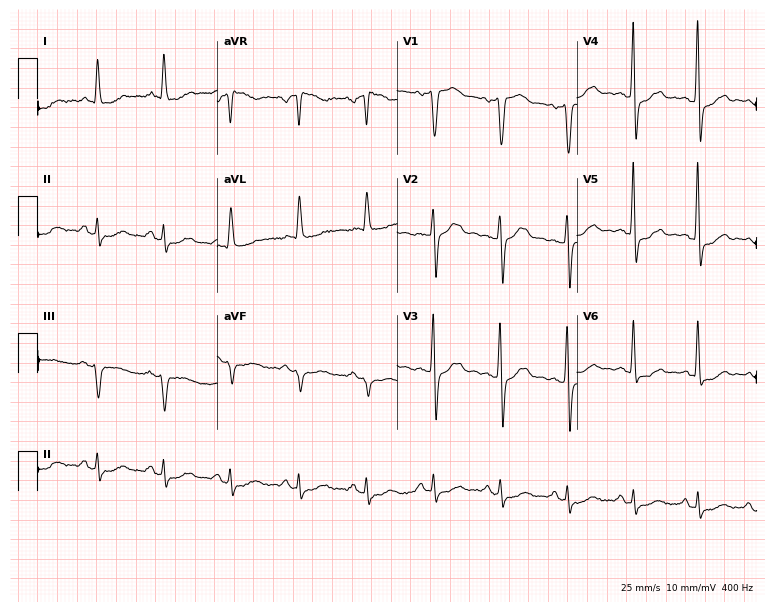
ECG (7.3-second recording at 400 Hz) — a 17-year-old male patient. Screened for six findings — first-degree AV block, right bundle branch block, left bundle branch block, sinus bradycardia, atrial fibrillation, sinus tachycardia — none is recorded.